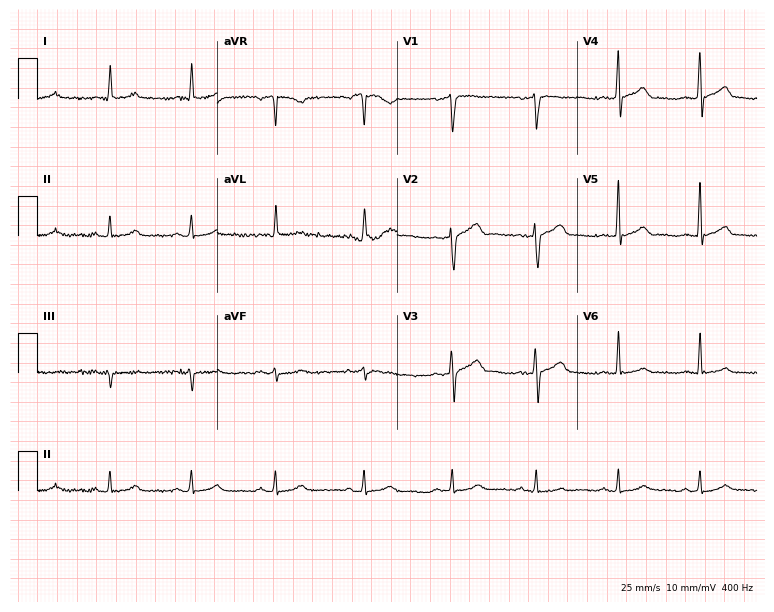
Standard 12-lead ECG recorded from a 68-year-old male. Read as a normal ECG.